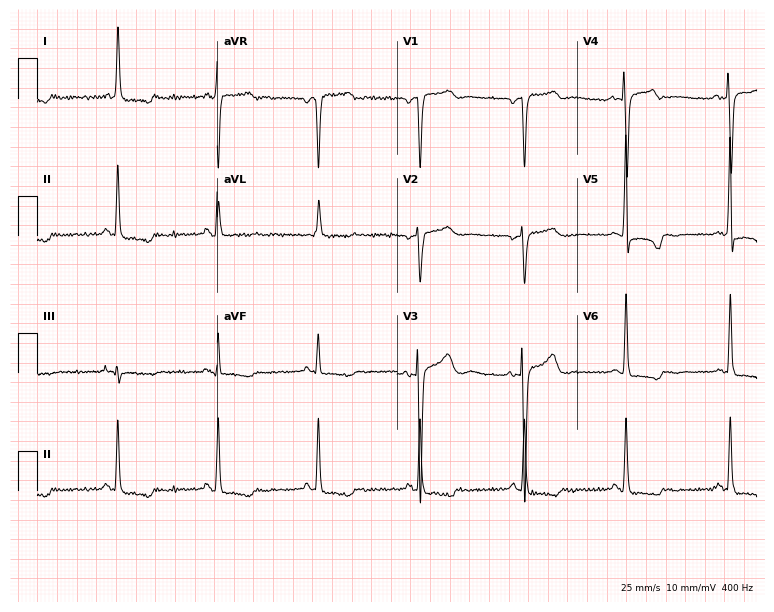
Resting 12-lead electrocardiogram (7.3-second recording at 400 Hz). Patient: a 67-year-old woman. Read as a normal ECG.